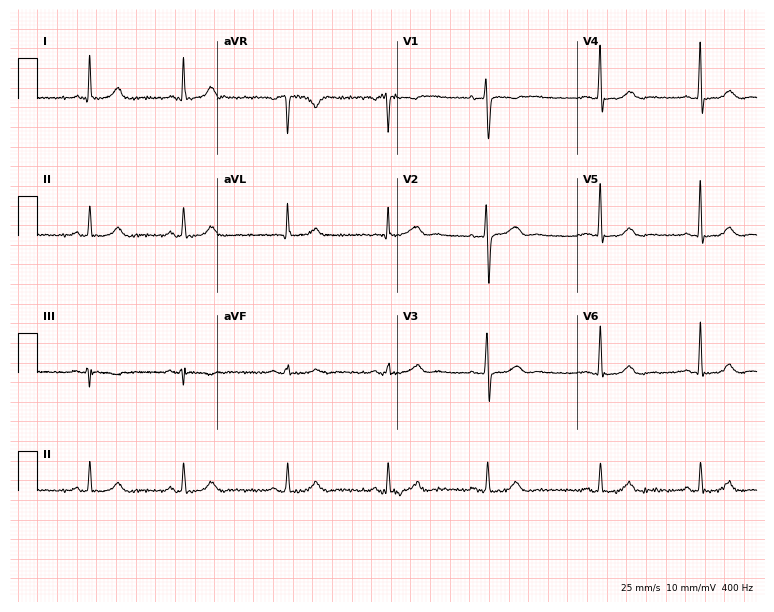
Standard 12-lead ECG recorded from a 37-year-old woman (7.3-second recording at 400 Hz). Read as a normal ECG.